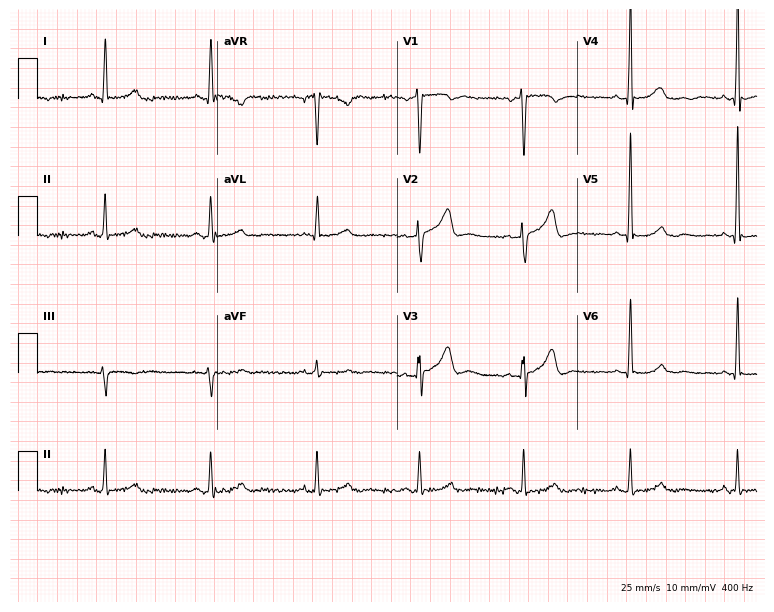
Resting 12-lead electrocardiogram. Patient: a 57-year-old male. None of these six findings is recorded: first-degree AV block, right bundle branch block, left bundle branch block, sinus bradycardia, atrial fibrillation, sinus tachycardia.